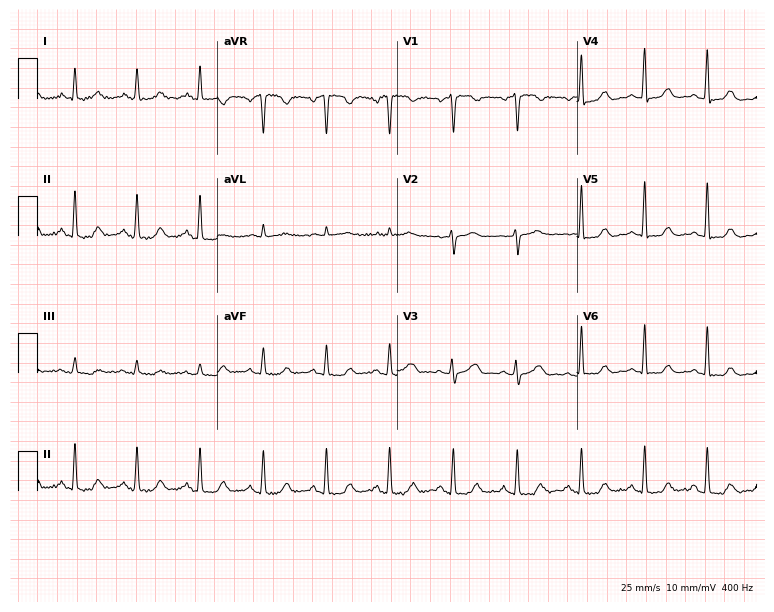
ECG (7.3-second recording at 400 Hz) — a 52-year-old female patient. Screened for six findings — first-degree AV block, right bundle branch block, left bundle branch block, sinus bradycardia, atrial fibrillation, sinus tachycardia — none is recorded. Findings outside these six are not listed.